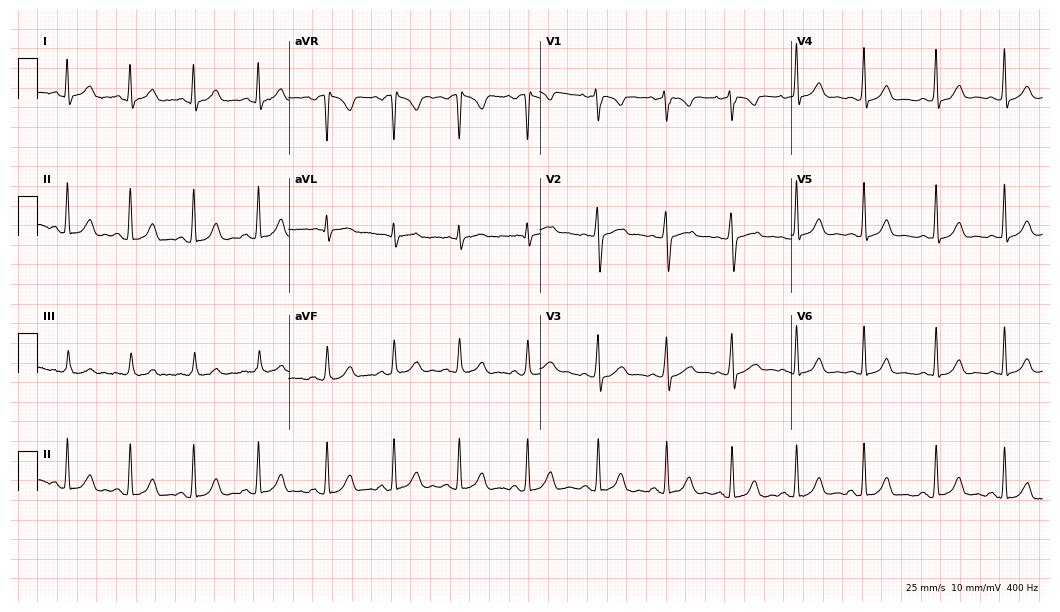
Standard 12-lead ECG recorded from a 24-year-old male patient. Read as a normal ECG.